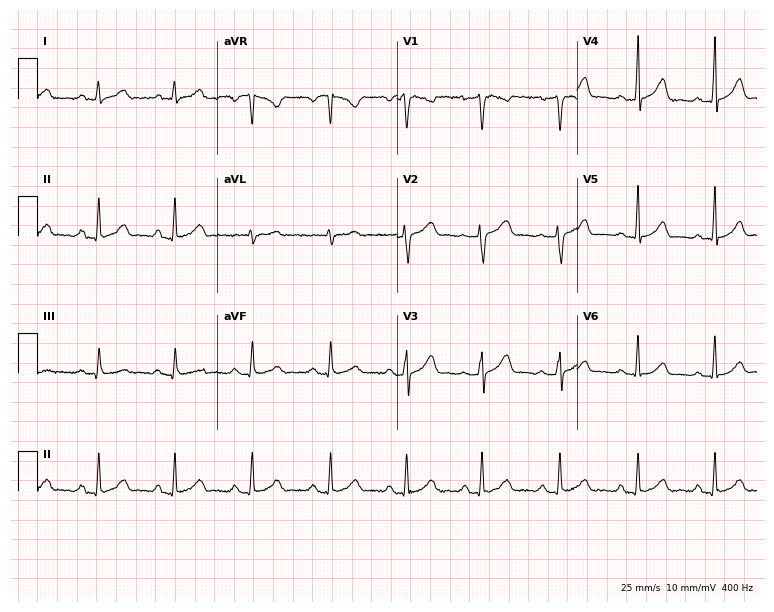
12-lead ECG from a female patient, 36 years old. Screened for six findings — first-degree AV block, right bundle branch block, left bundle branch block, sinus bradycardia, atrial fibrillation, sinus tachycardia — none is recorded. Findings outside these six are not listed.